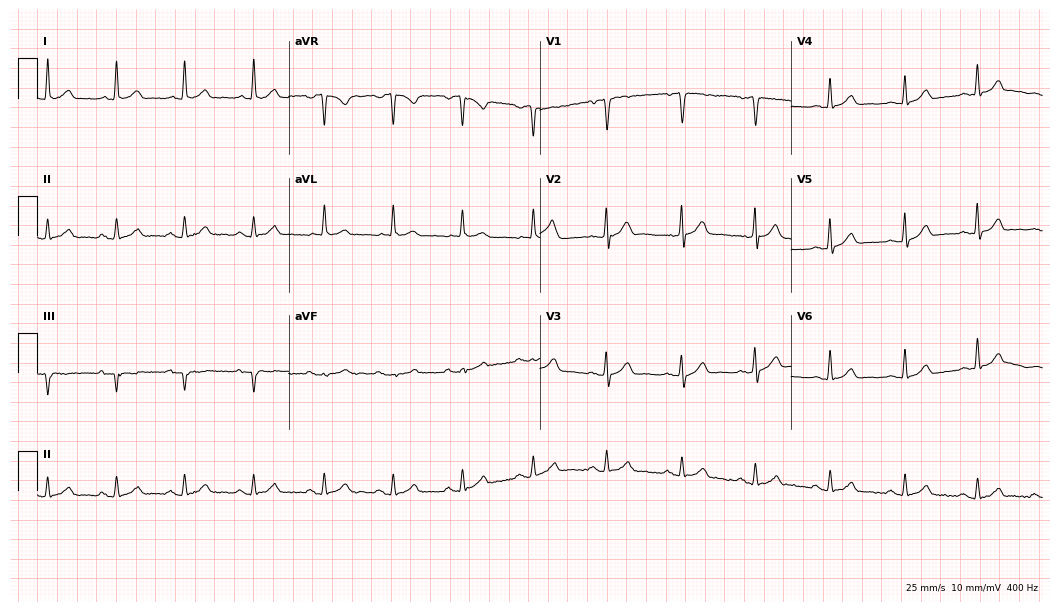
Electrocardiogram (10.2-second recording at 400 Hz), a man, 48 years old. Overall reading on record: normal ECG.